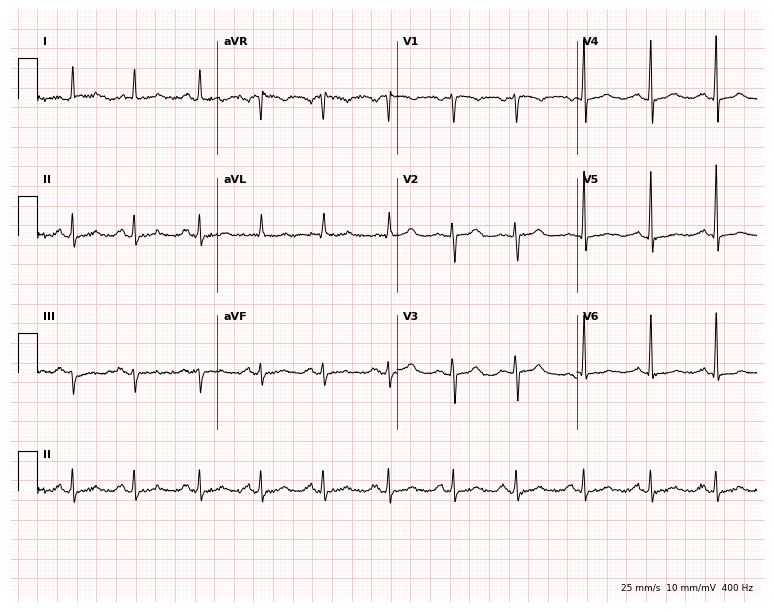
Electrocardiogram (7.3-second recording at 400 Hz), a female patient, 45 years old. Overall reading on record: normal ECG.